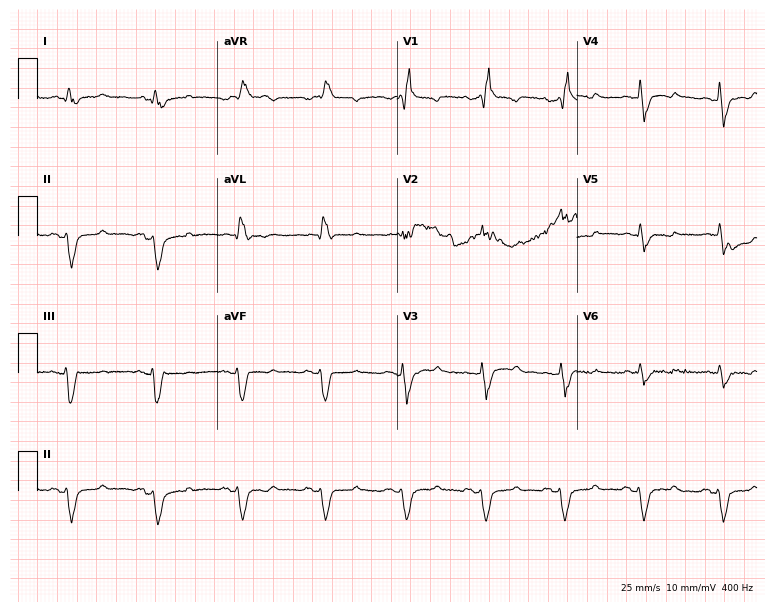
12-lead ECG from a 45-year-old male (7.3-second recording at 400 Hz). Shows right bundle branch block.